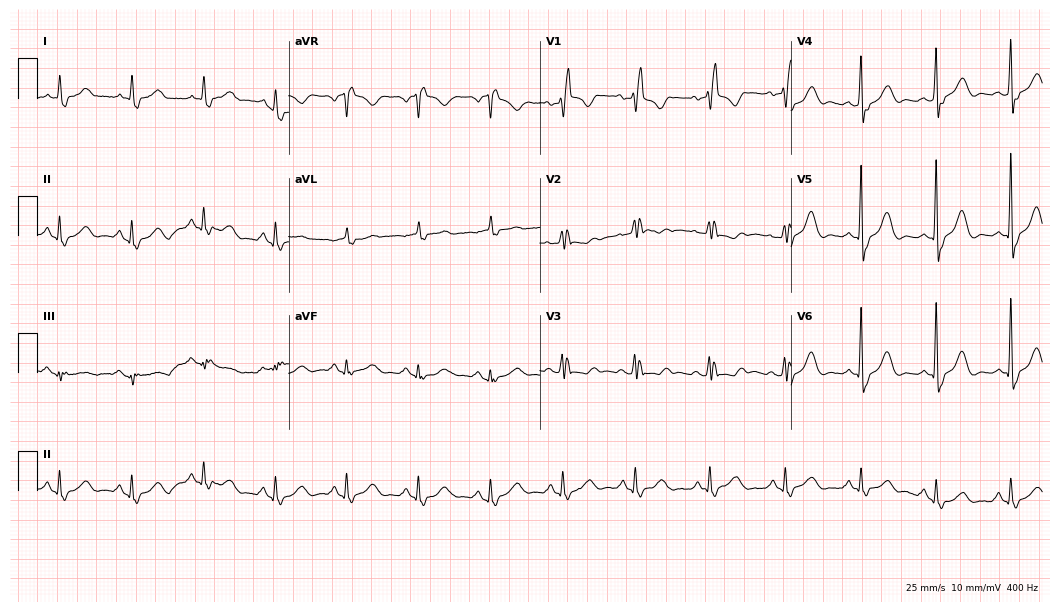
Standard 12-lead ECG recorded from a 72-year-old female patient. None of these six findings is recorded: first-degree AV block, right bundle branch block (RBBB), left bundle branch block (LBBB), sinus bradycardia, atrial fibrillation (AF), sinus tachycardia. Other findings, if any, are not listed.